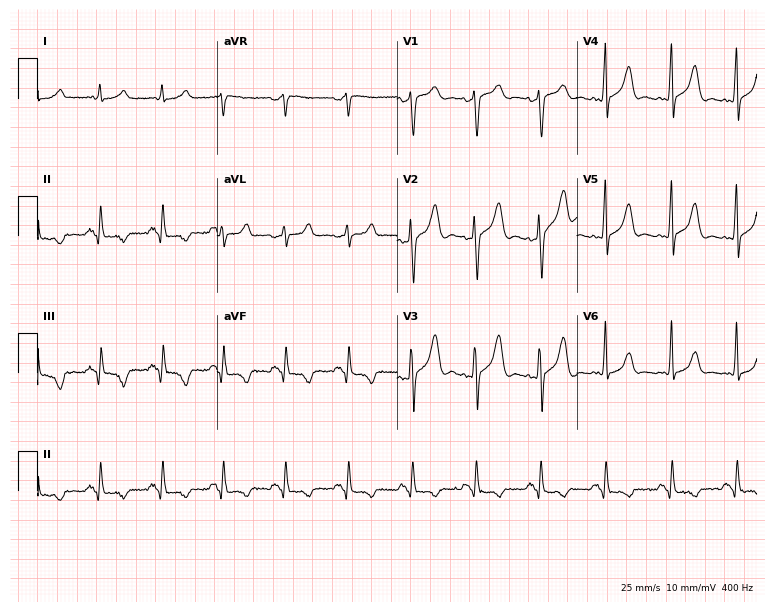
ECG — a 52-year-old male patient. Screened for six findings — first-degree AV block, right bundle branch block (RBBB), left bundle branch block (LBBB), sinus bradycardia, atrial fibrillation (AF), sinus tachycardia — none is recorded. Only these six findings were labelled.